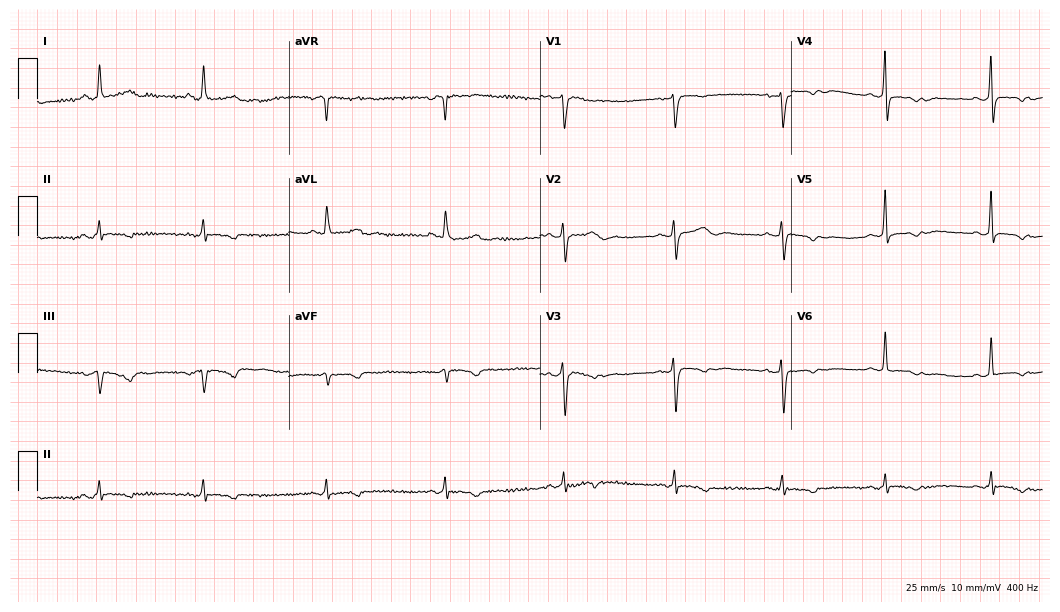
ECG (10.2-second recording at 400 Hz) — a woman, 65 years old. Screened for six findings — first-degree AV block, right bundle branch block (RBBB), left bundle branch block (LBBB), sinus bradycardia, atrial fibrillation (AF), sinus tachycardia — none is recorded.